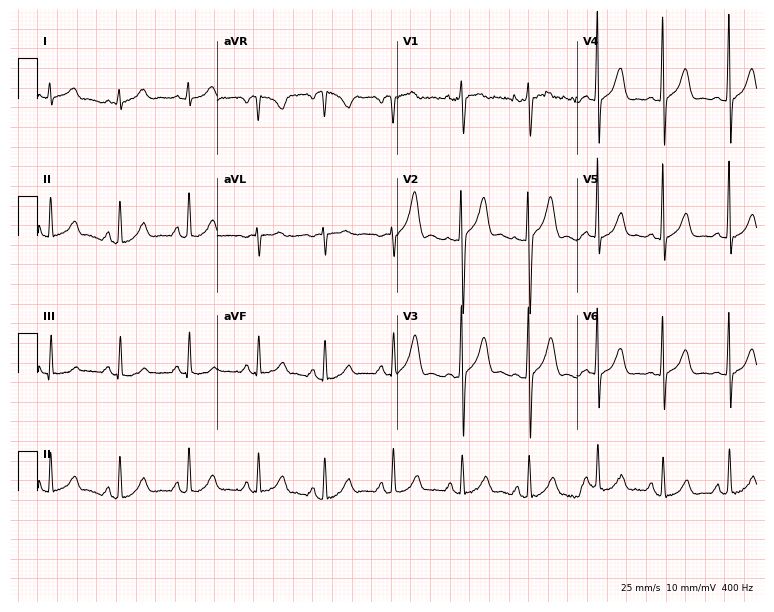
Resting 12-lead electrocardiogram (7.3-second recording at 400 Hz). Patient: a 24-year-old male. None of these six findings is recorded: first-degree AV block, right bundle branch block, left bundle branch block, sinus bradycardia, atrial fibrillation, sinus tachycardia. Other findings, if any, are not listed.